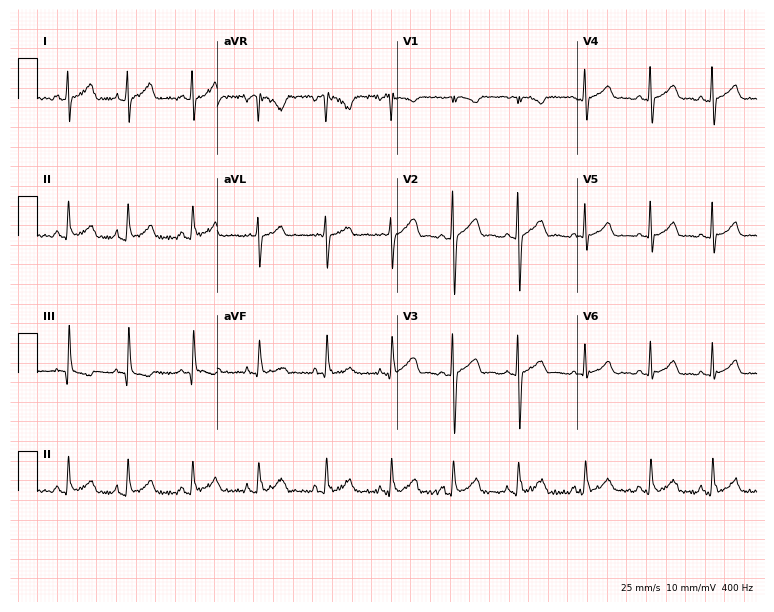
12-lead ECG from a 19-year-old female patient. Recorded interpretation: within normal limits.